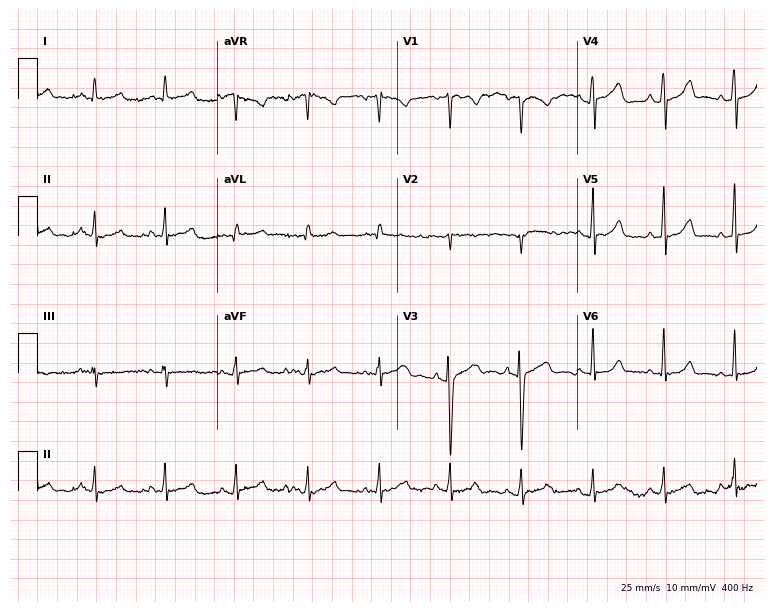
Resting 12-lead electrocardiogram (7.3-second recording at 400 Hz). Patient: a 44-year-old woman. None of these six findings is recorded: first-degree AV block, right bundle branch block (RBBB), left bundle branch block (LBBB), sinus bradycardia, atrial fibrillation (AF), sinus tachycardia. Other findings, if any, are not listed.